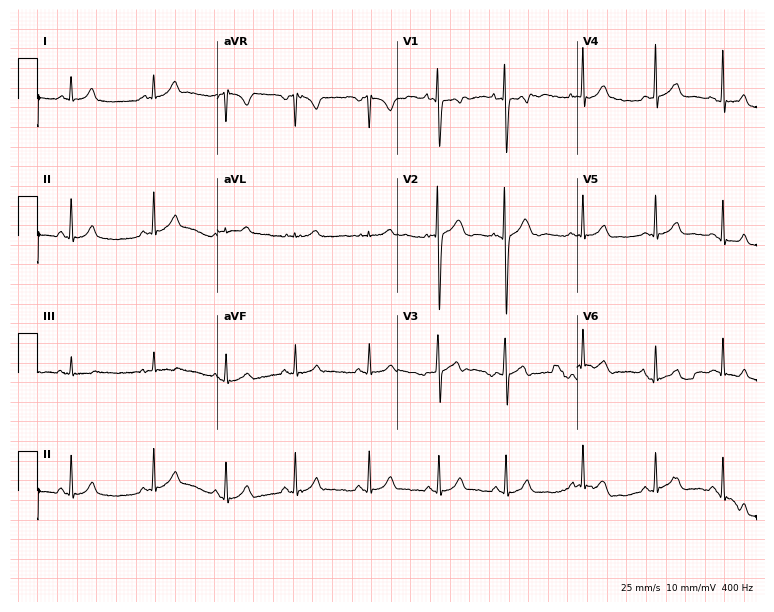
Electrocardiogram (7.3-second recording at 400 Hz), a woman, 17 years old. Of the six screened findings (first-degree AV block, right bundle branch block, left bundle branch block, sinus bradycardia, atrial fibrillation, sinus tachycardia), none is recorded. Only these six findings were labelled.